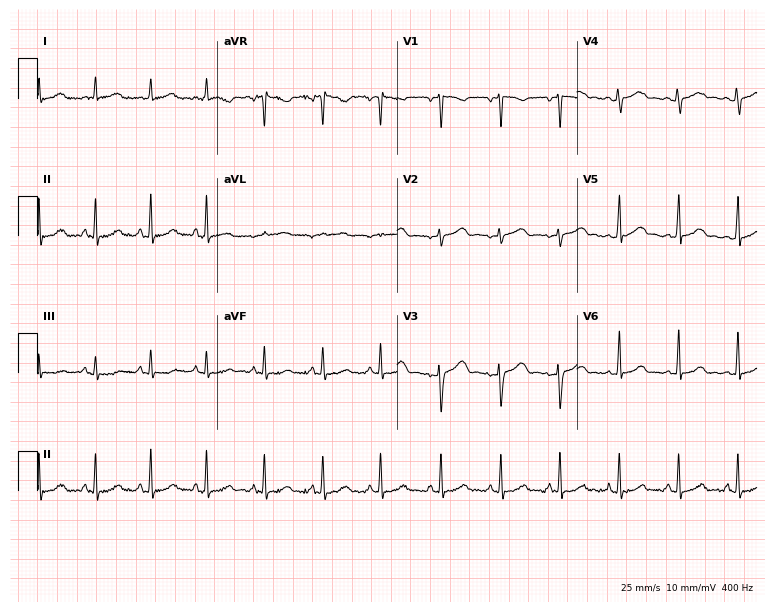
ECG (7.3-second recording at 400 Hz) — a woman, 23 years old. Labelled as a normal ECG.